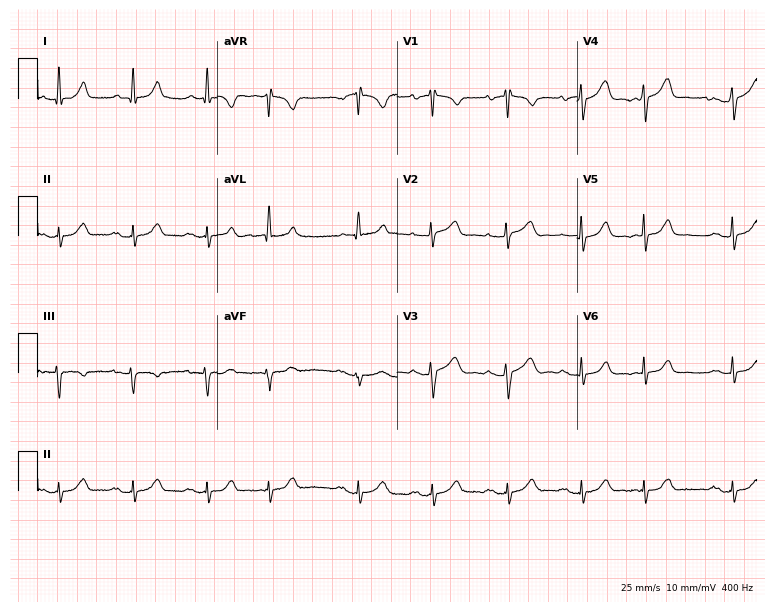
Electrocardiogram (7.3-second recording at 400 Hz), a man, 82 years old. Of the six screened findings (first-degree AV block, right bundle branch block (RBBB), left bundle branch block (LBBB), sinus bradycardia, atrial fibrillation (AF), sinus tachycardia), none is recorded.